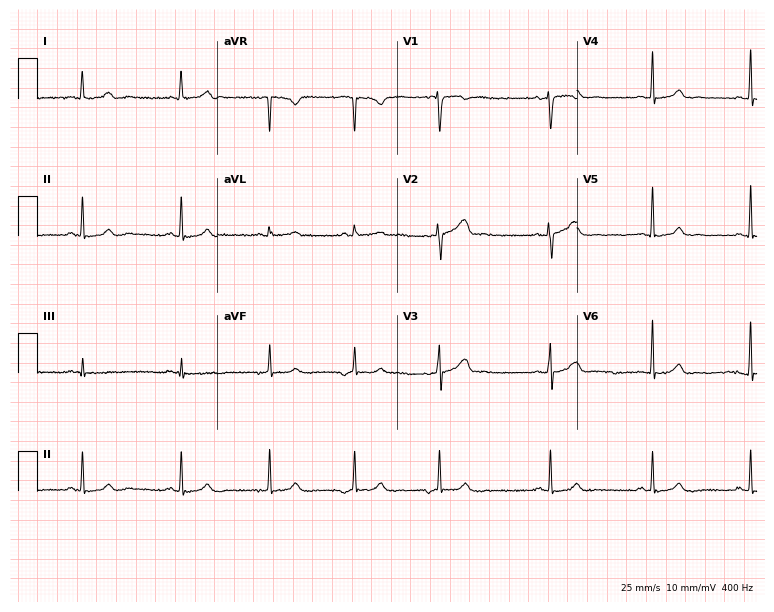
Resting 12-lead electrocardiogram. Patient: a female, 25 years old. Read as a normal ECG.